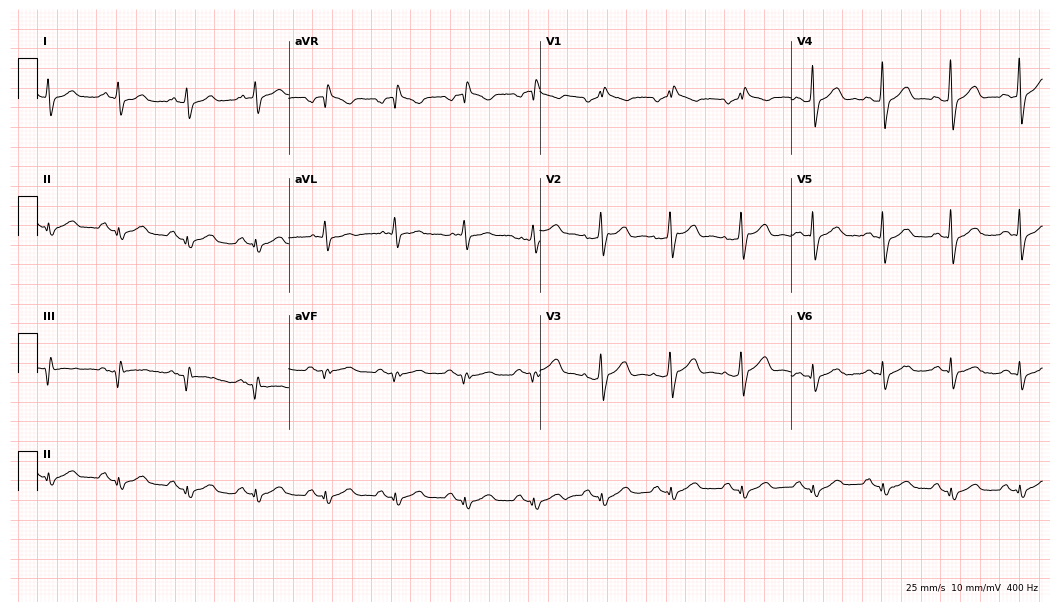
Electrocardiogram (10.2-second recording at 400 Hz), a male patient, 58 years old. Interpretation includes right bundle branch block.